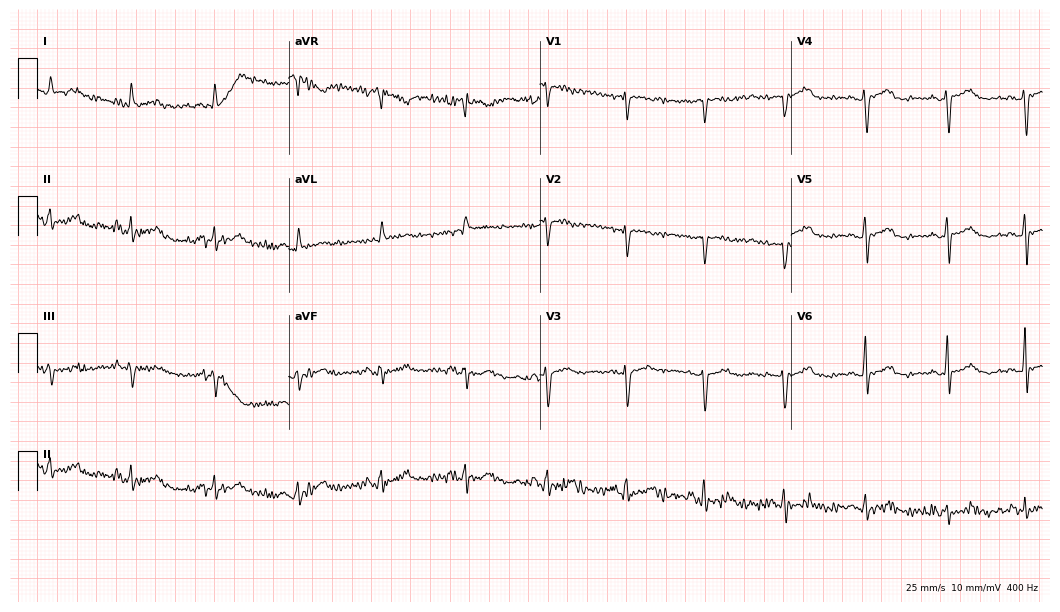
12-lead ECG from a 60-year-old female (10.2-second recording at 400 Hz). Recorded interpretation: within normal limits.